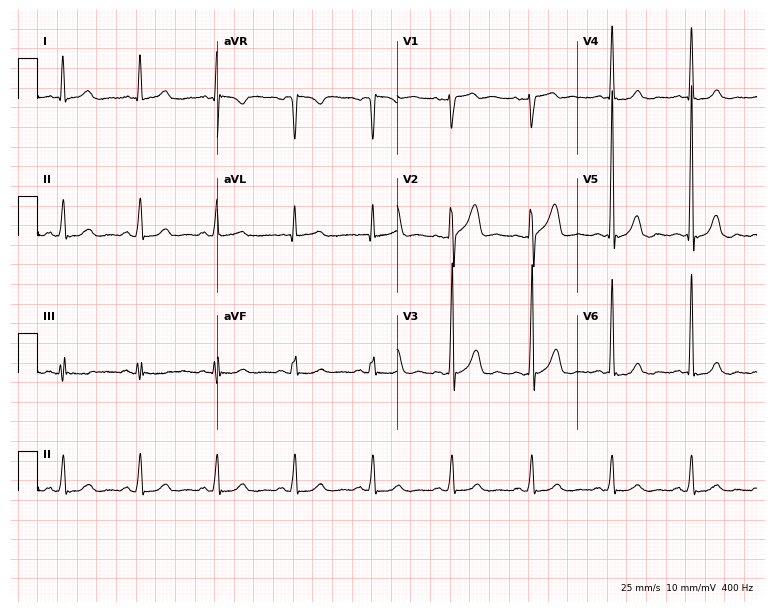
Standard 12-lead ECG recorded from a man, 24 years old. Read as a normal ECG.